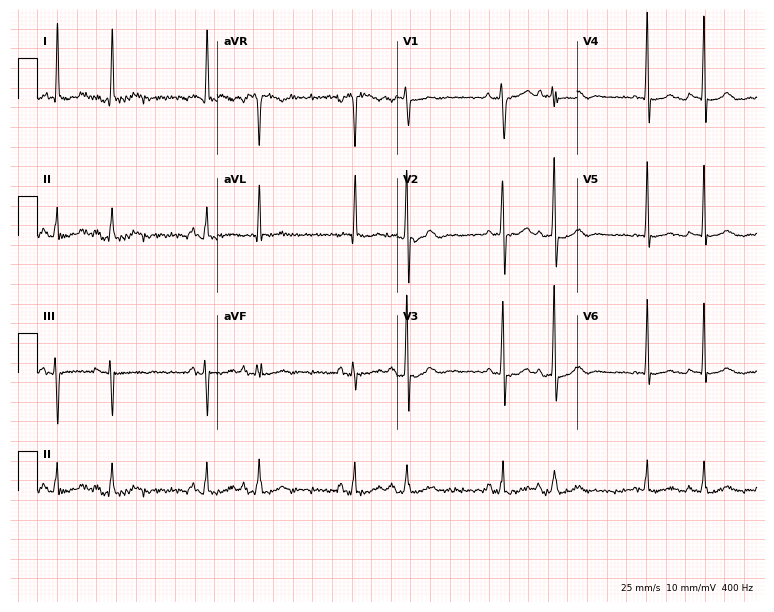
Resting 12-lead electrocardiogram (7.3-second recording at 400 Hz). Patient: a 62-year-old female. None of these six findings is recorded: first-degree AV block, right bundle branch block (RBBB), left bundle branch block (LBBB), sinus bradycardia, atrial fibrillation (AF), sinus tachycardia. Only these six findings were labelled.